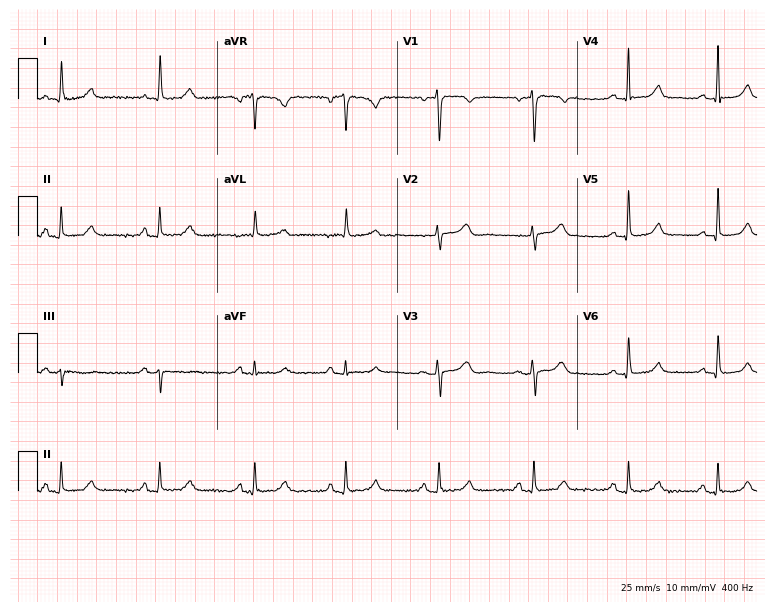
Resting 12-lead electrocardiogram. Patient: a female, 53 years old. Read as a normal ECG.